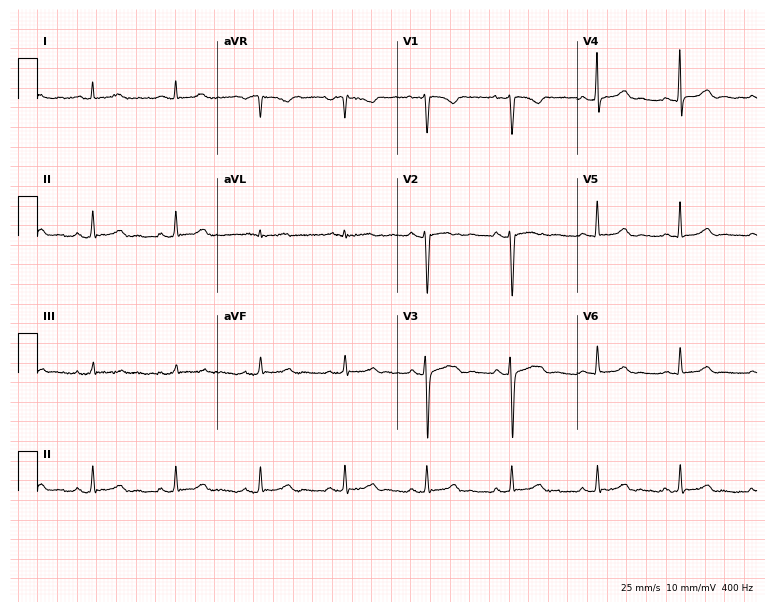
Electrocardiogram (7.3-second recording at 400 Hz), a 26-year-old female patient. Overall reading on record: normal ECG.